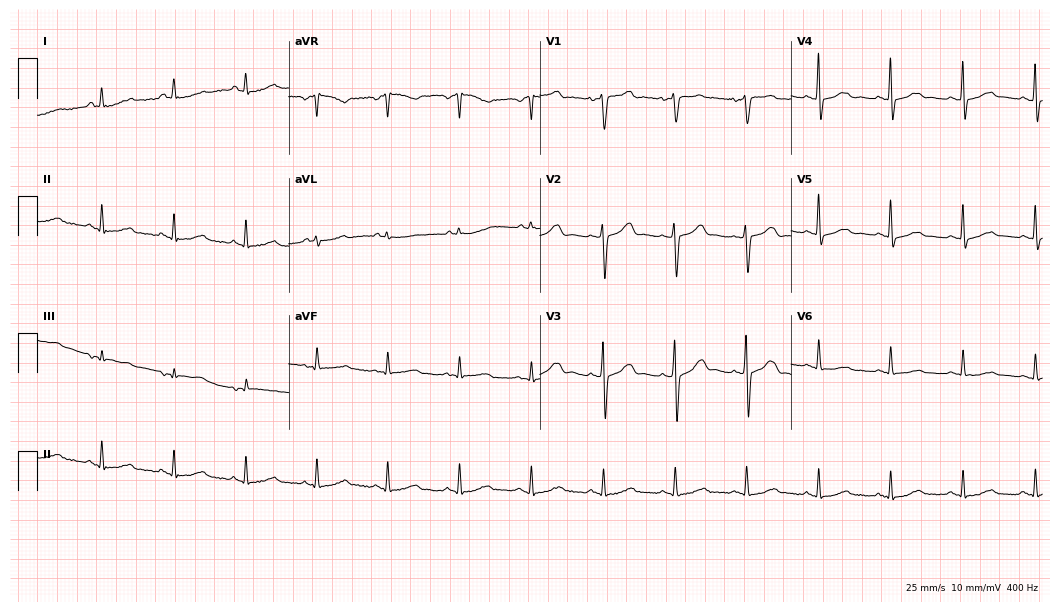
Electrocardiogram (10.2-second recording at 400 Hz), a female, 63 years old. Overall reading on record: normal ECG.